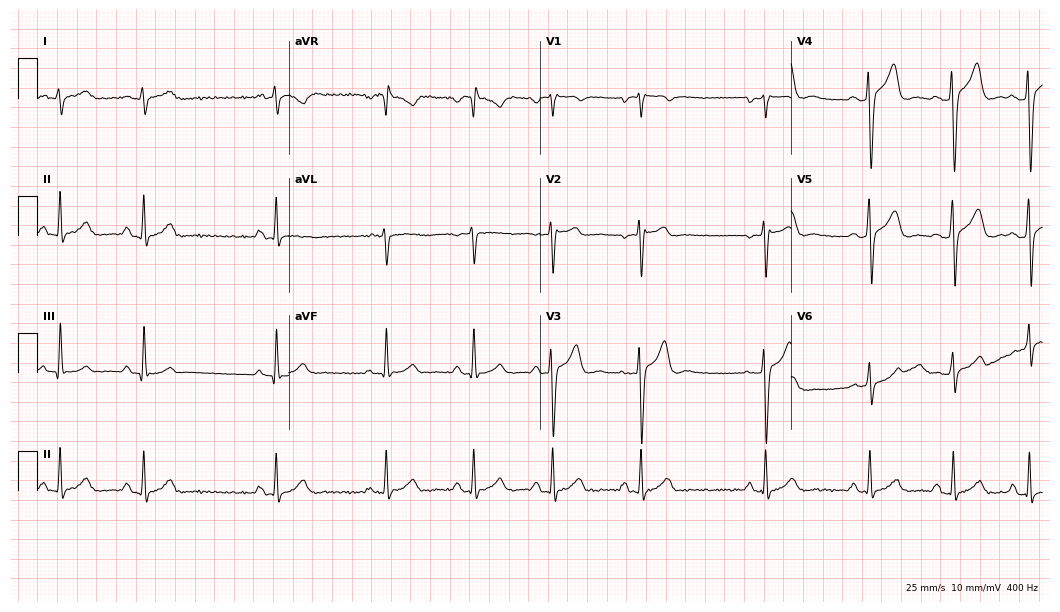
Electrocardiogram, a 26-year-old male patient. Of the six screened findings (first-degree AV block, right bundle branch block (RBBB), left bundle branch block (LBBB), sinus bradycardia, atrial fibrillation (AF), sinus tachycardia), none is recorded. Other findings, if any, are not listed.